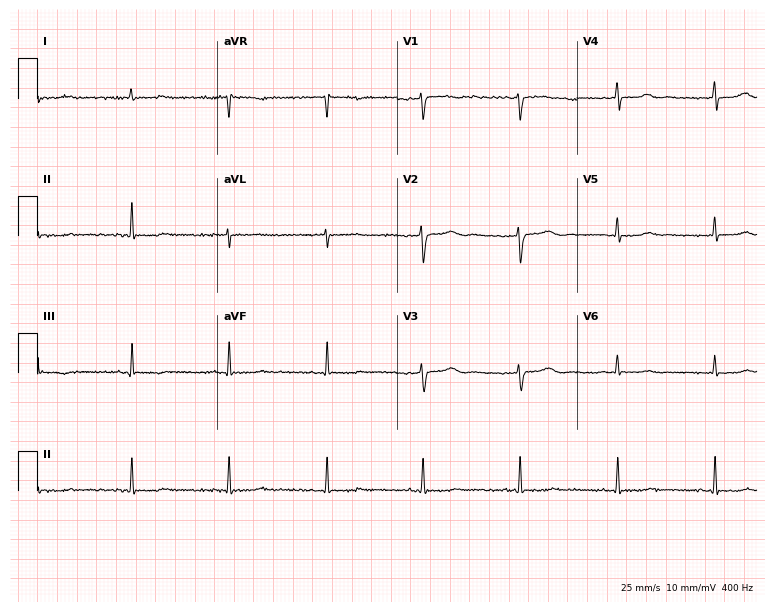
12-lead ECG from a 26-year-old female patient. Screened for six findings — first-degree AV block, right bundle branch block (RBBB), left bundle branch block (LBBB), sinus bradycardia, atrial fibrillation (AF), sinus tachycardia — none is recorded.